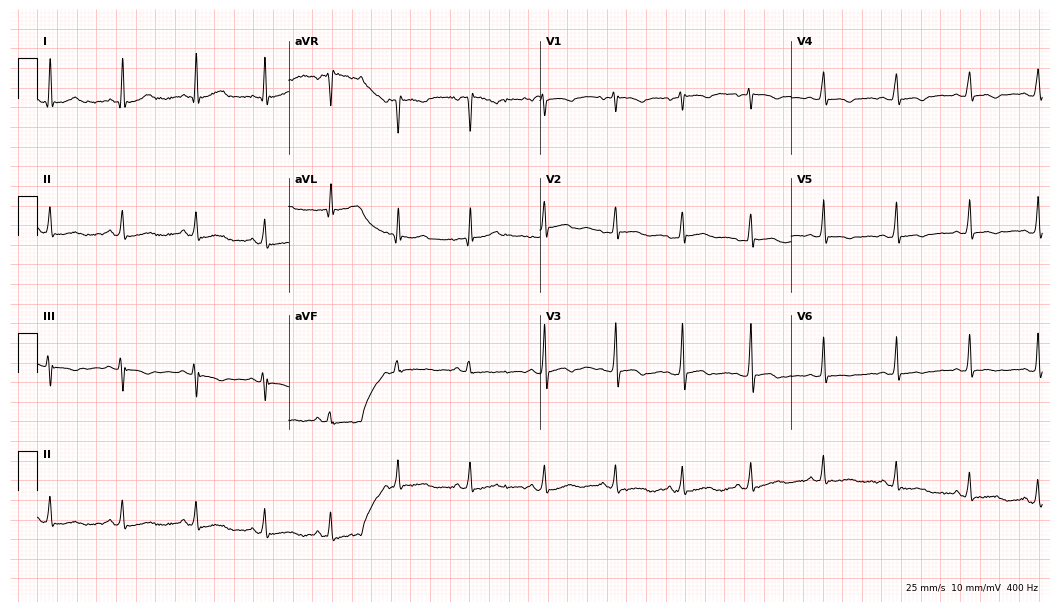
Standard 12-lead ECG recorded from a female patient, 32 years old. None of these six findings is recorded: first-degree AV block, right bundle branch block (RBBB), left bundle branch block (LBBB), sinus bradycardia, atrial fibrillation (AF), sinus tachycardia. Other findings, if any, are not listed.